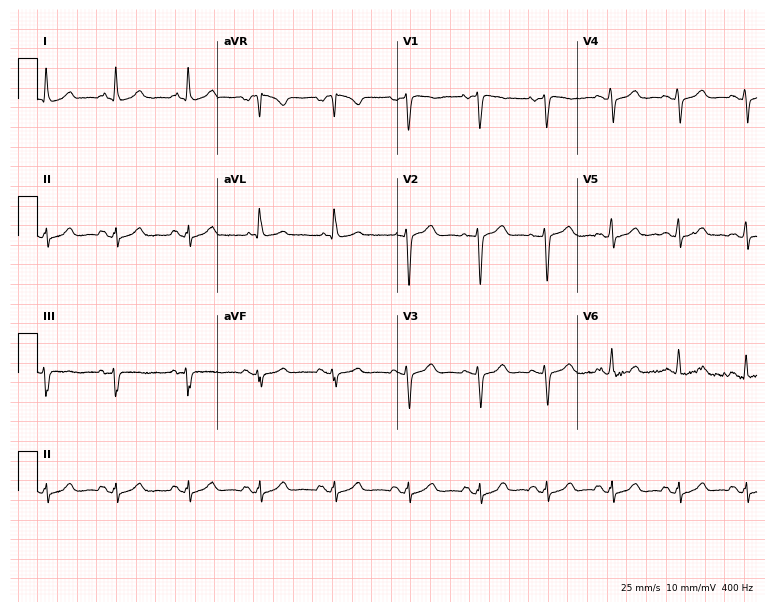
Standard 12-lead ECG recorded from a female, 55 years old (7.3-second recording at 400 Hz). Read as a normal ECG.